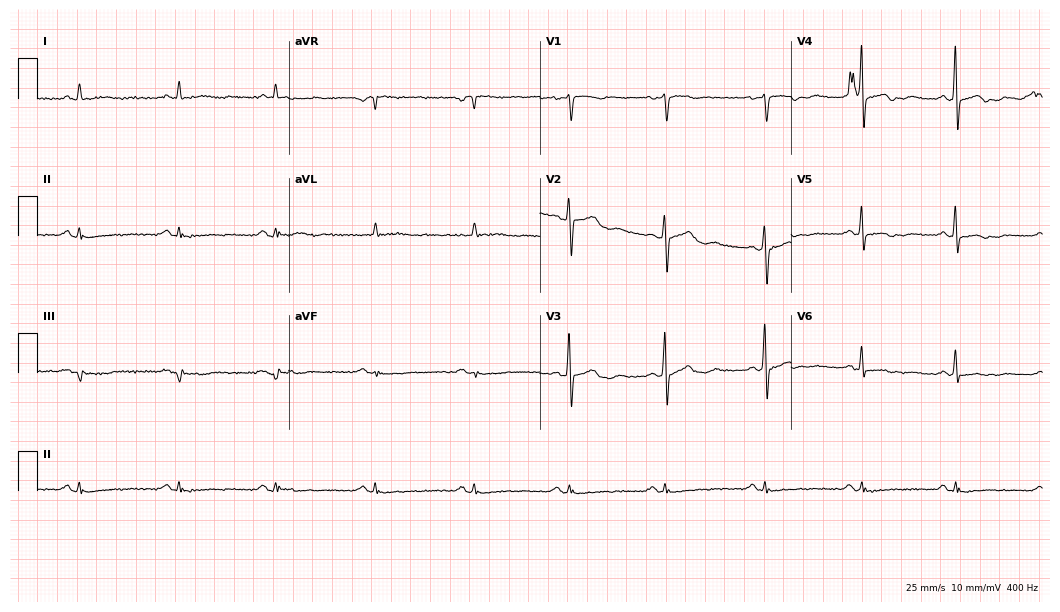
ECG (10.2-second recording at 400 Hz) — a 71-year-old male patient. Screened for six findings — first-degree AV block, right bundle branch block, left bundle branch block, sinus bradycardia, atrial fibrillation, sinus tachycardia — none is recorded.